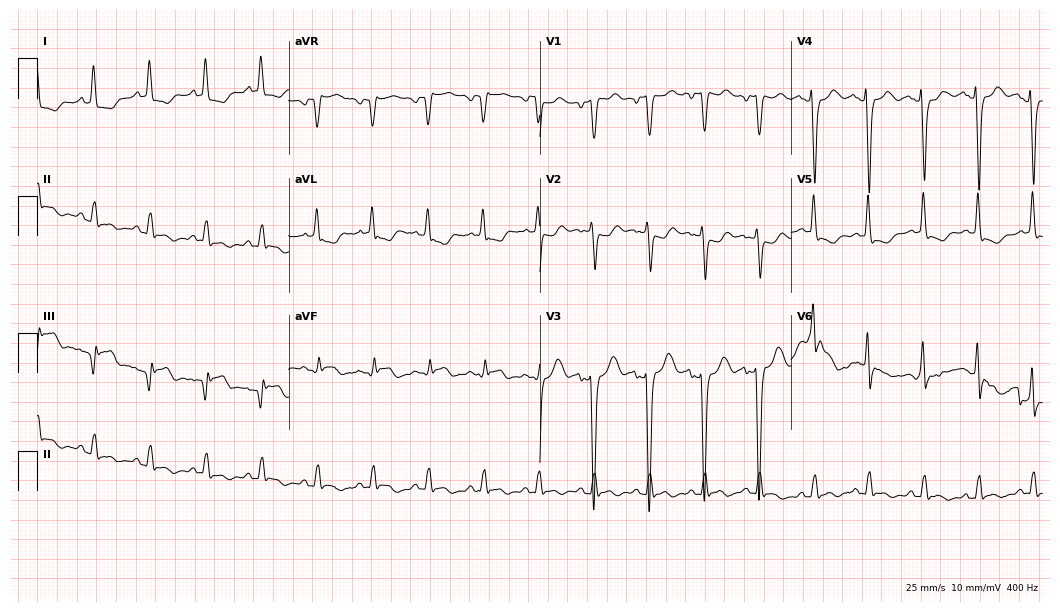
12-lead ECG from a woman, 82 years old (10.2-second recording at 400 Hz). Shows sinus tachycardia (a sinus rate of 100 beats per minute or more).